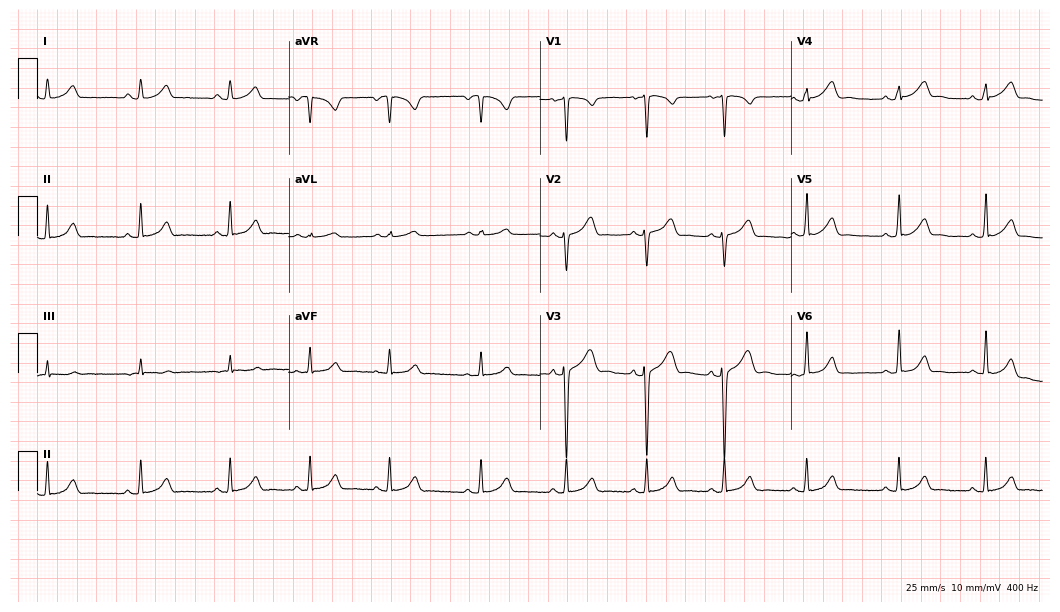
12-lead ECG from a woman, 25 years old. Recorded interpretation: within normal limits.